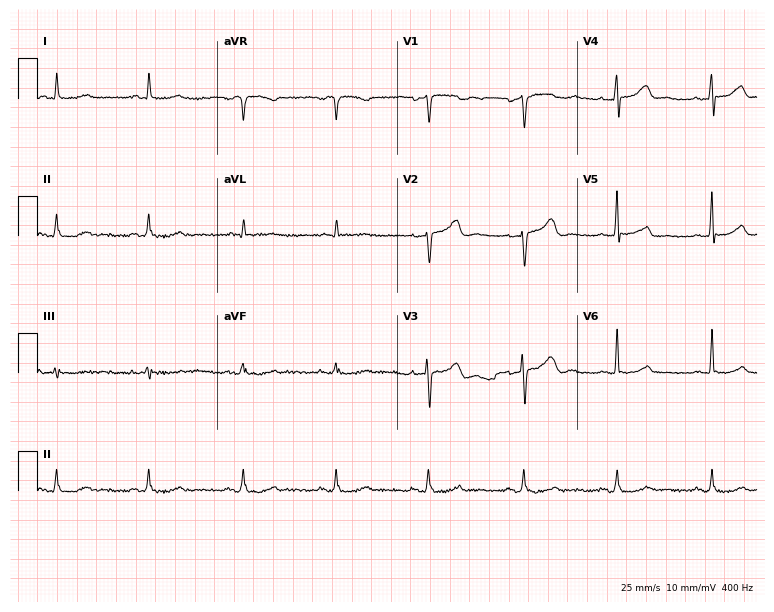
Standard 12-lead ECG recorded from a male, 67 years old (7.3-second recording at 400 Hz). Read as a normal ECG.